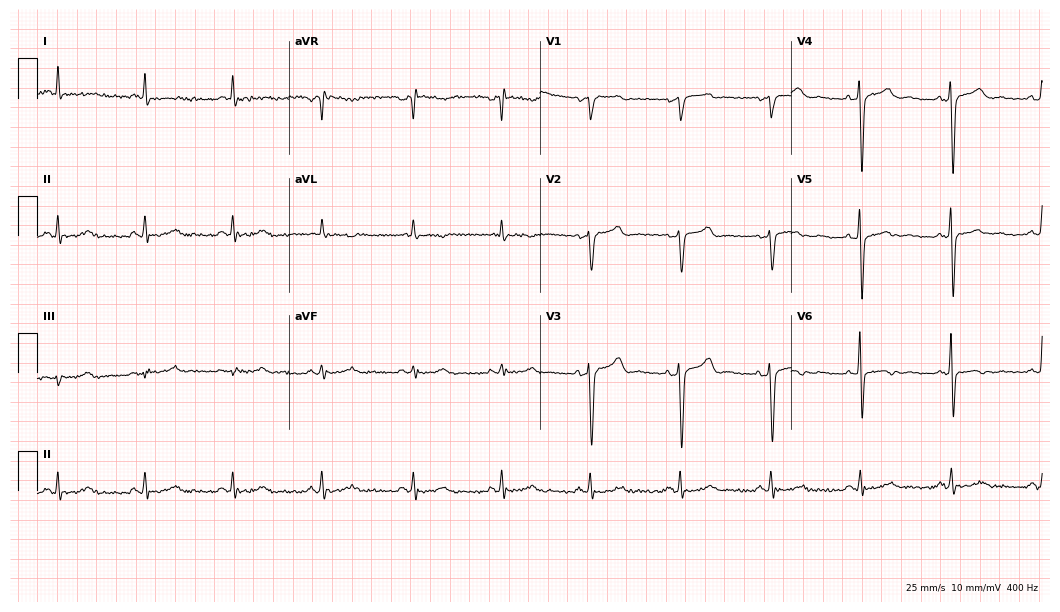
12-lead ECG from a female patient, 56 years old. No first-degree AV block, right bundle branch block (RBBB), left bundle branch block (LBBB), sinus bradycardia, atrial fibrillation (AF) or sinus tachycardia recorded for this tracing.